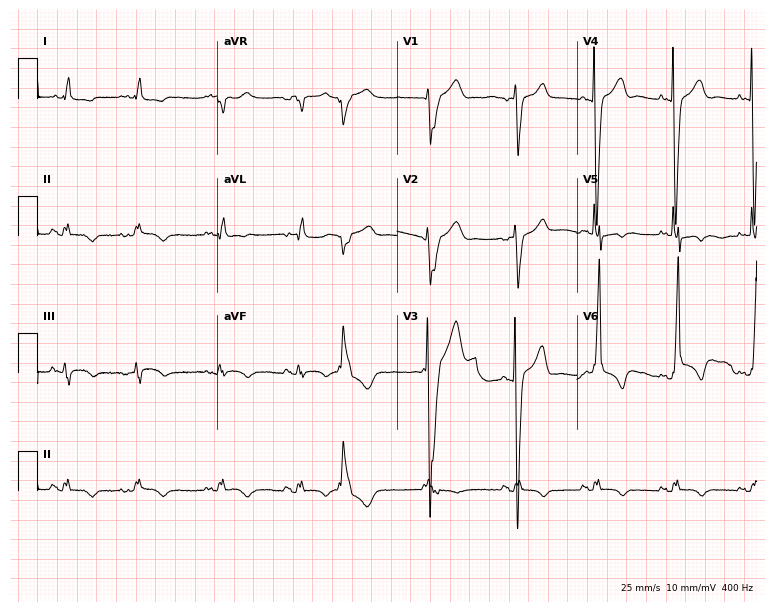
Electrocardiogram (7.3-second recording at 400 Hz), an 83-year-old male. Of the six screened findings (first-degree AV block, right bundle branch block (RBBB), left bundle branch block (LBBB), sinus bradycardia, atrial fibrillation (AF), sinus tachycardia), none is recorded. Only these six findings were labelled.